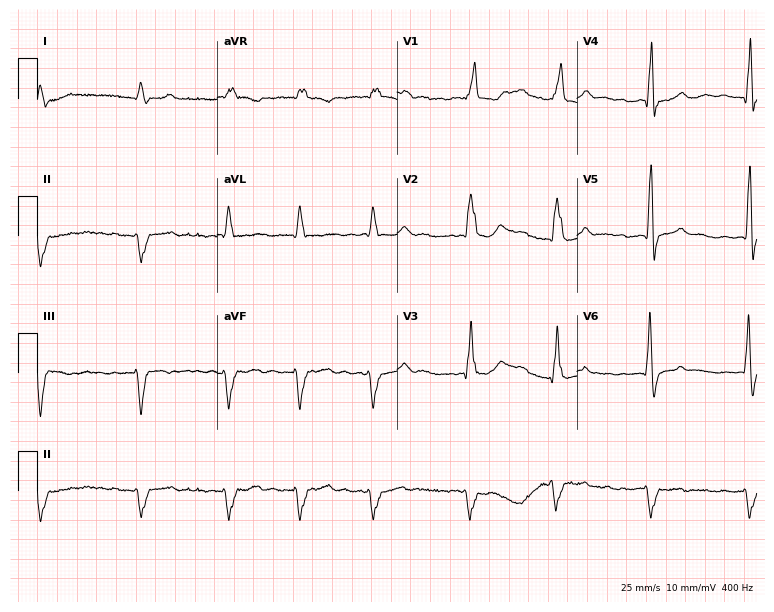
Resting 12-lead electrocardiogram (7.3-second recording at 400 Hz). Patient: a man, 77 years old. The tracing shows right bundle branch block, atrial fibrillation.